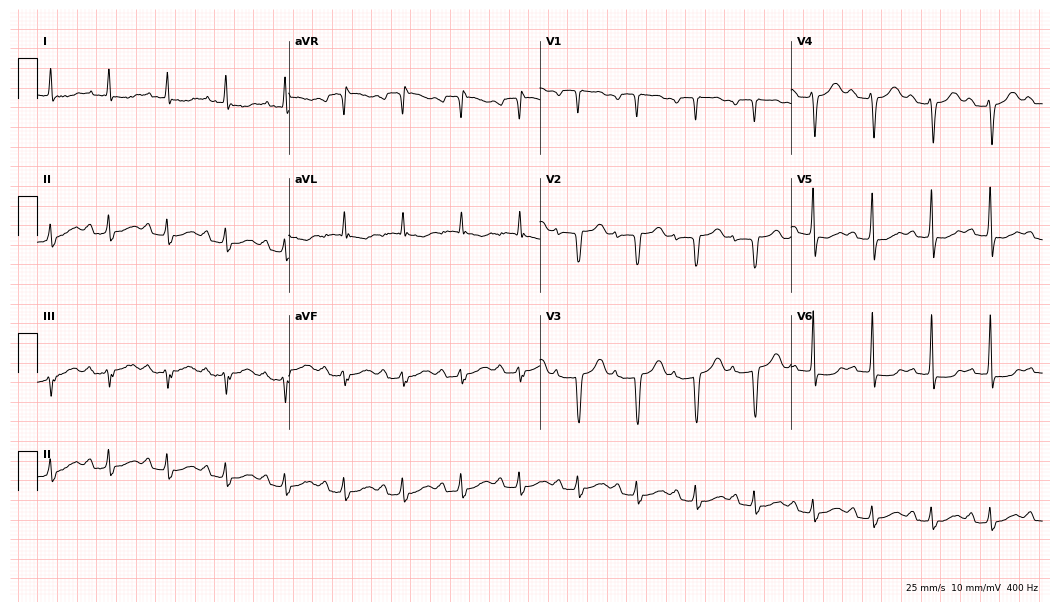
Resting 12-lead electrocardiogram. Patient: a 77-year-old woman. The tracing shows first-degree AV block.